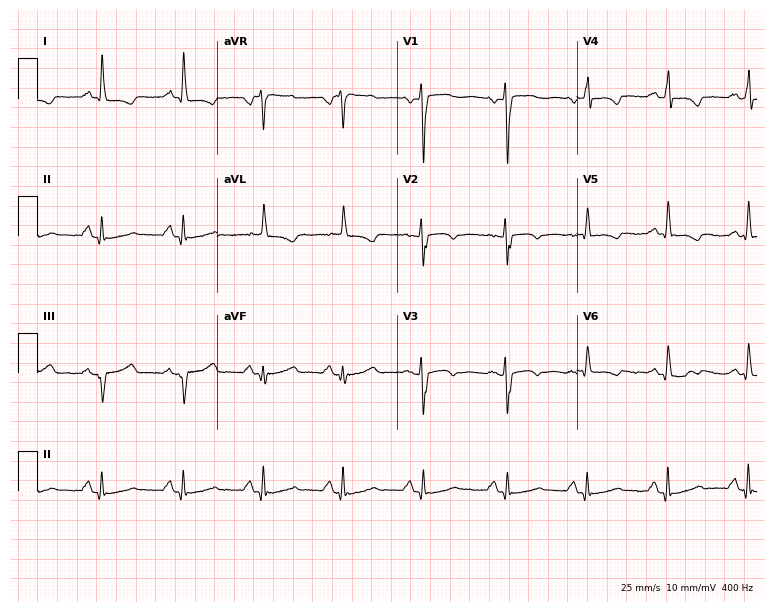
12-lead ECG from a woman, 54 years old. Screened for six findings — first-degree AV block, right bundle branch block (RBBB), left bundle branch block (LBBB), sinus bradycardia, atrial fibrillation (AF), sinus tachycardia — none is recorded.